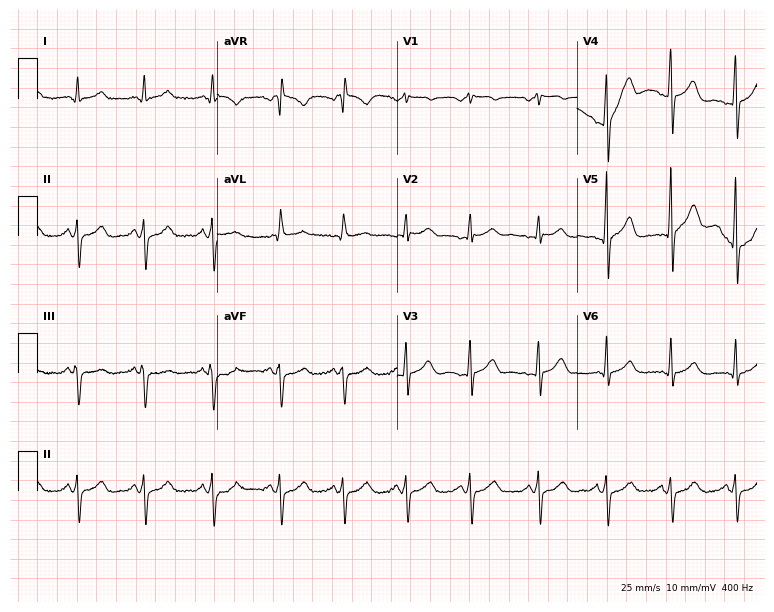
ECG (7.3-second recording at 400 Hz) — a male patient, 42 years old. Screened for six findings — first-degree AV block, right bundle branch block (RBBB), left bundle branch block (LBBB), sinus bradycardia, atrial fibrillation (AF), sinus tachycardia — none is recorded.